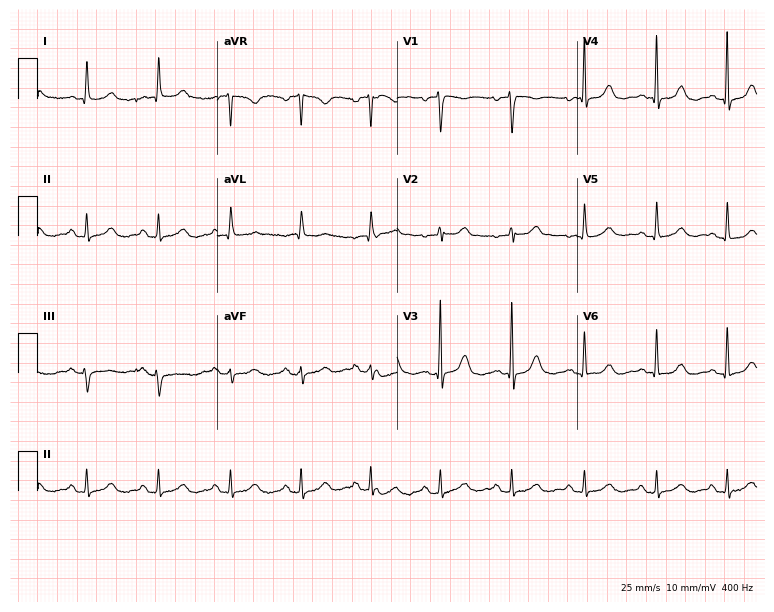
ECG (7.3-second recording at 400 Hz) — a 69-year-old female patient. Labelled as a normal ECG.